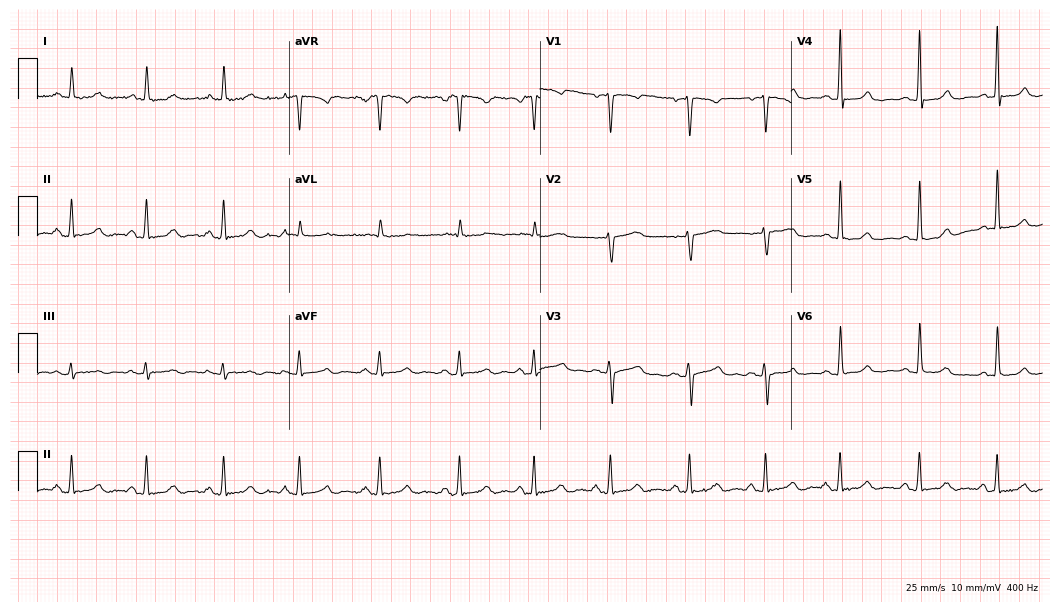
Standard 12-lead ECG recorded from a 31-year-old female patient (10.2-second recording at 400 Hz). None of these six findings is recorded: first-degree AV block, right bundle branch block (RBBB), left bundle branch block (LBBB), sinus bradycardia, atrial fibrillation (AF), sinus tachycardia. Only these six findings were labelled.